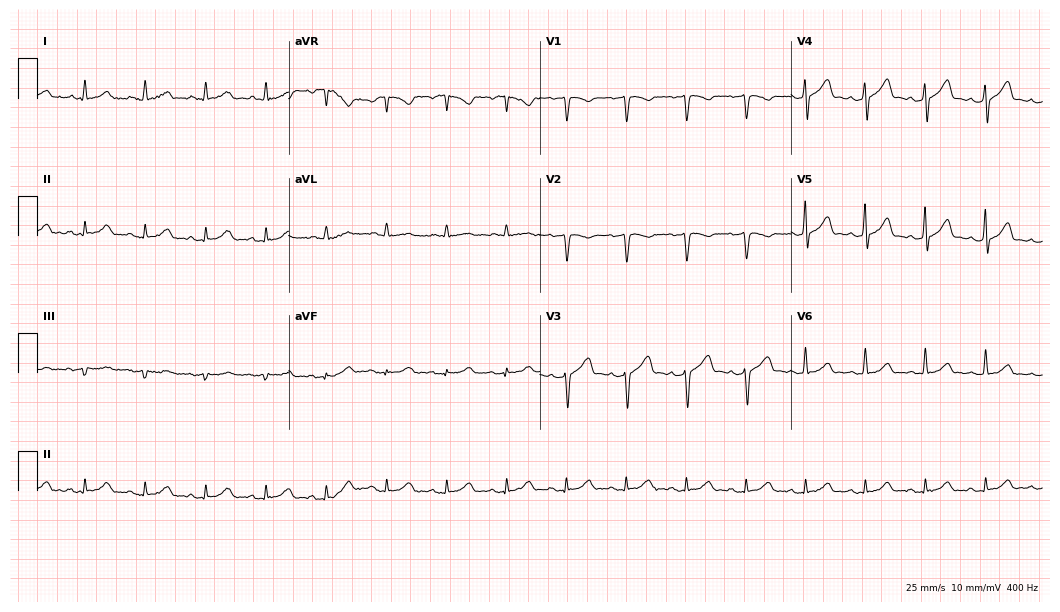
Resting 12-lead electrocardiogram (10.2-second recording at 400 Hz). Patient: a 47-year-old man. Read as a normal ECG.